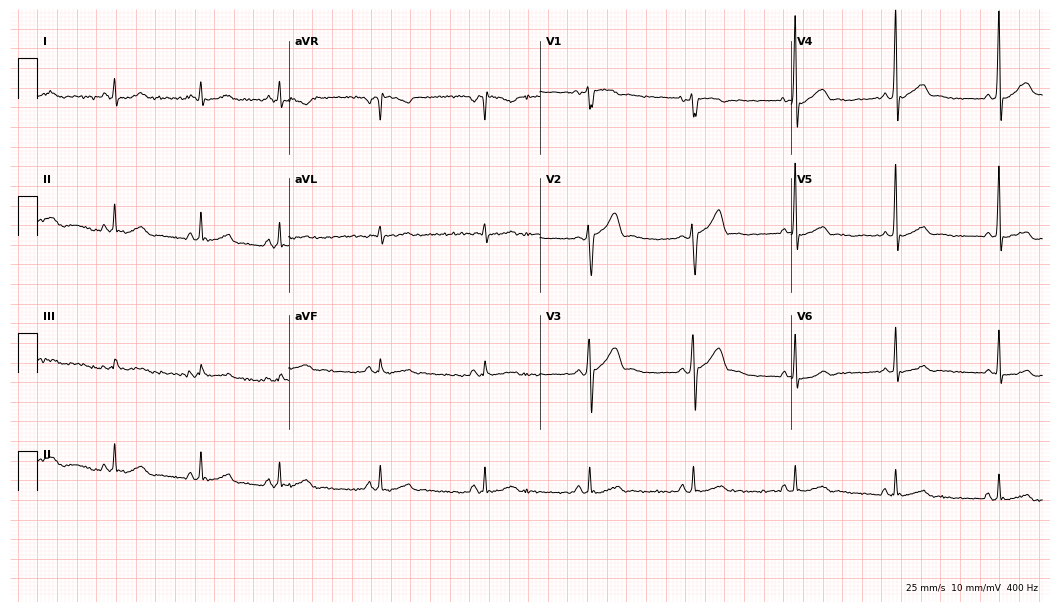
Standard 12-lead ECG recorded from a male patient, 38 years old (10.2-second recording at 400 Hz). Read as a normal ECG.